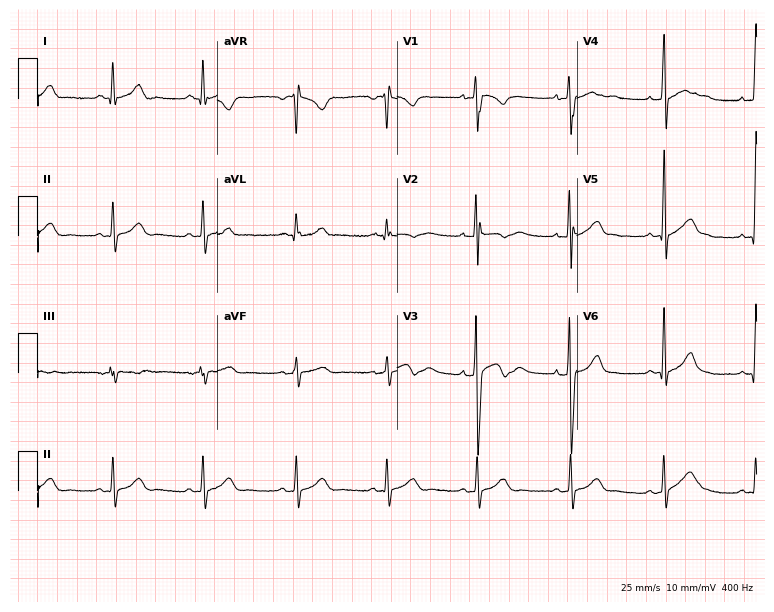
12-lead ECG from a 29-year-old man. Recorded interpretation: within normal limits.